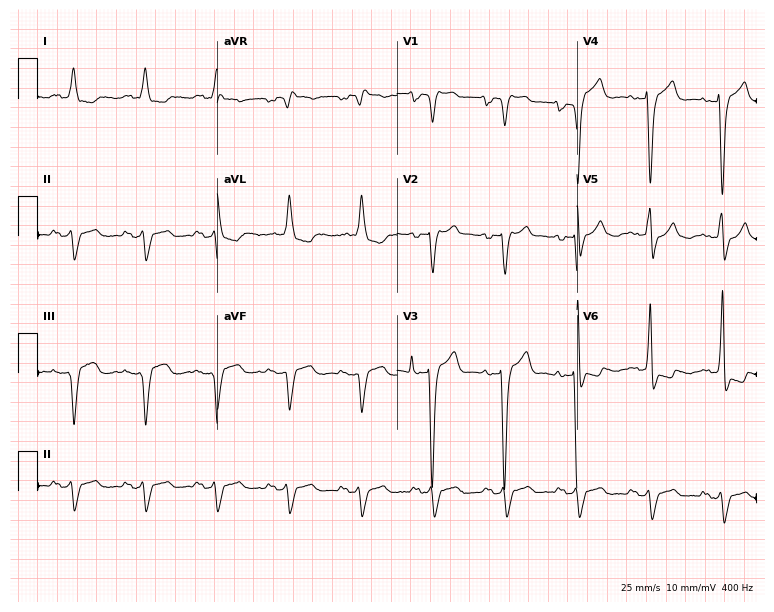
Resting 12-lead electrocardiogram (7.3-second recording at 400 Hz). Patient: a woman, 71 years old. The tracing shows left bundle branch block.